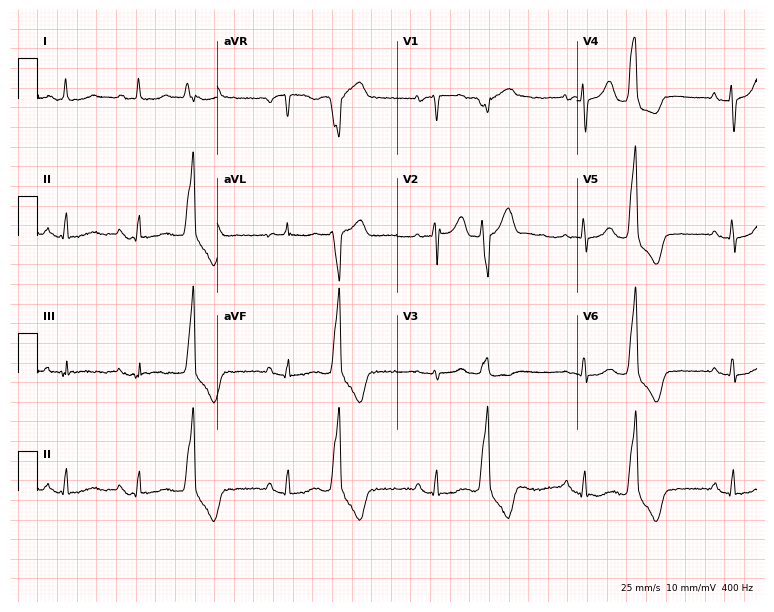
ECG (7.3-second recording at 400 Hz) — a 70-year-old female. Screened for six findings — first-degree AV block, right bundle branch block, left bundle branch block, sinus bradycardia, atrial fibrillation, sinus tachycardia — none is recorded. Only these six findings were labelled.